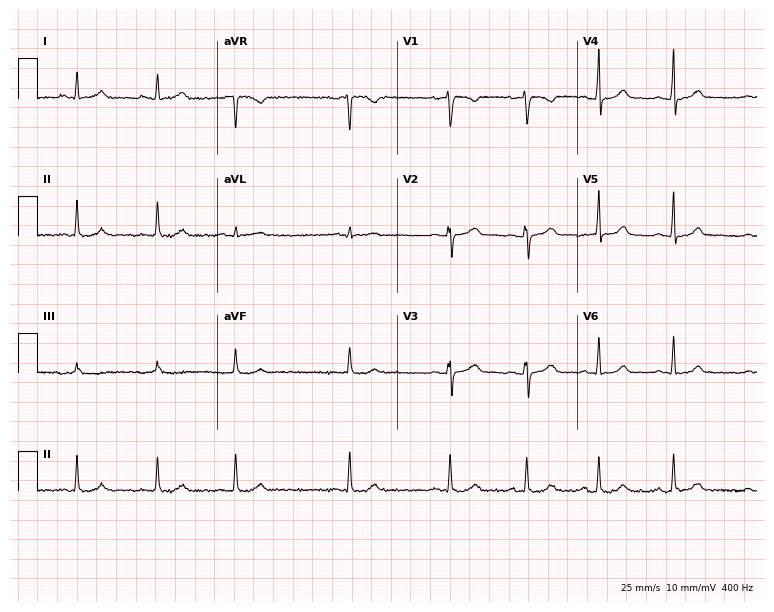
Resting 12-lead electrocardiogram. Patient: a woman, 18 years old. None of these six findings is recorded: first-degree AV block, right bundle branch block (RBBB), left bundle branch block (LBBB), sinus bradycardia, atrial fibrillation (AF), sinus tachycardia. Only these six findings were labelled.